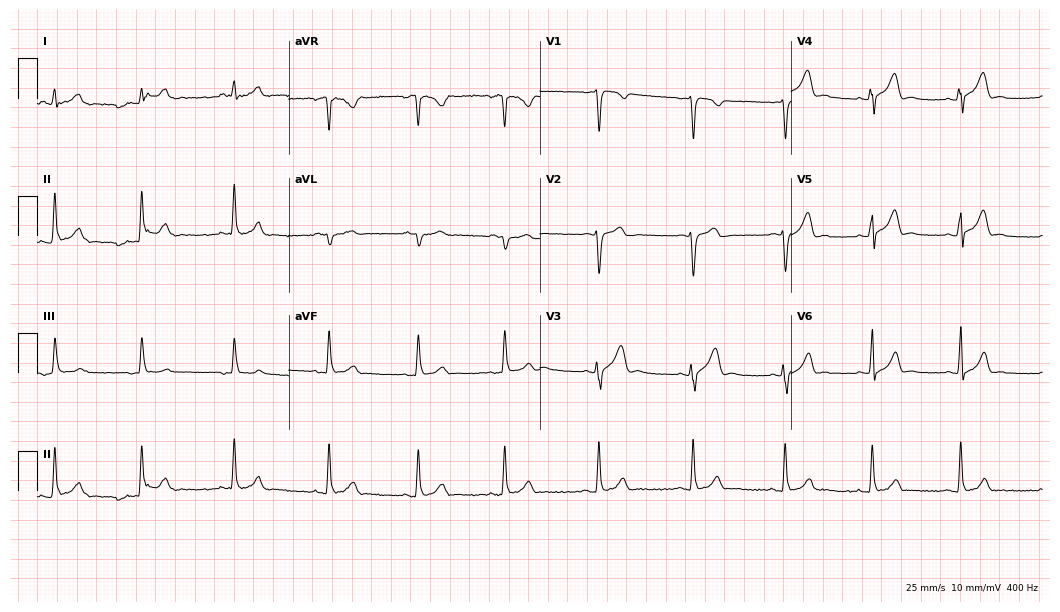
12-lead ECG from a male patient, 19 years old (10.2-second recording at 400 Hz). Recorded interpretation: within normal limits.